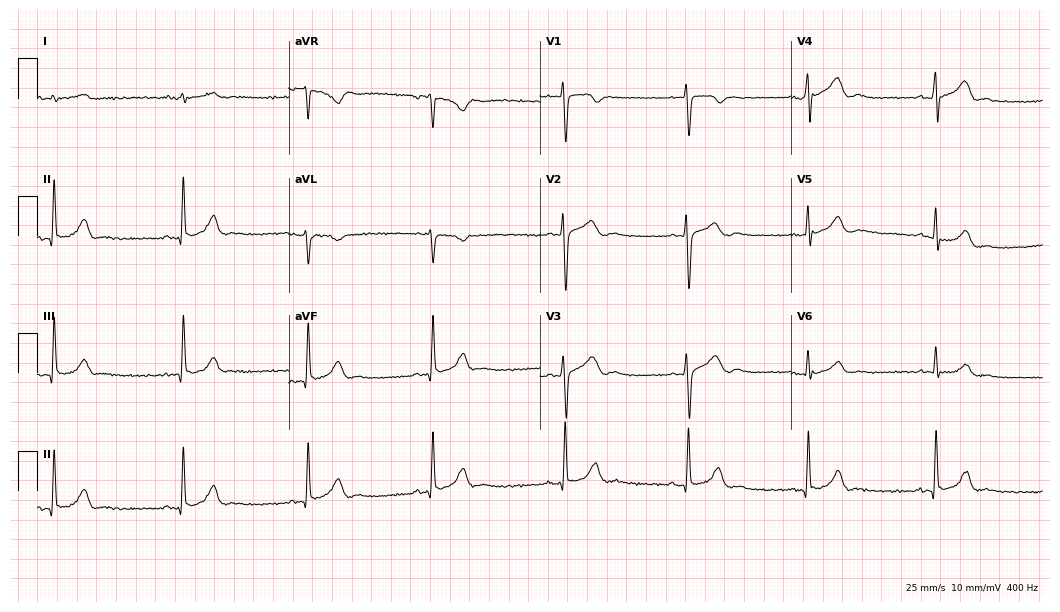
12-lead ECG (10.2-second recording at 400 Hz) from a 22-year-old male. Findings include sinus bradycardia (a sinus rate of 50 beats per minute or less).